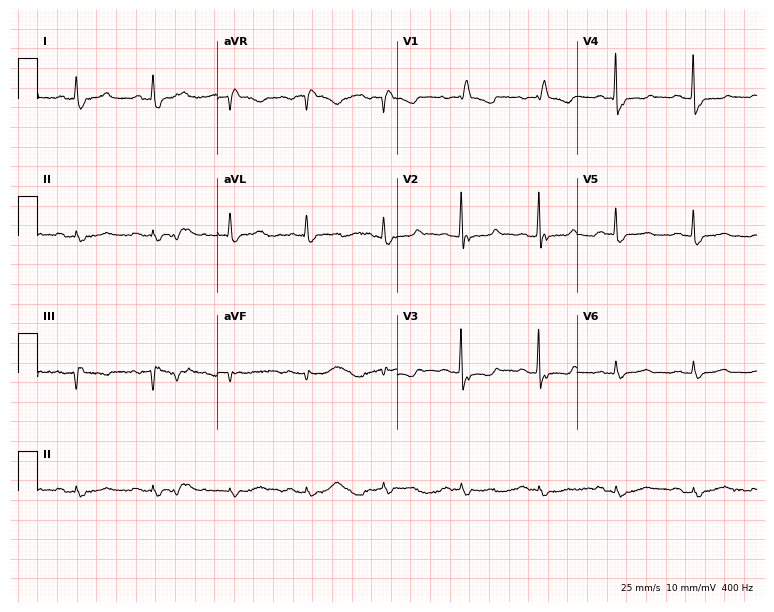
Electrocardiogram, a woman, 83 years old. Interpretation includes right bundle branch block.